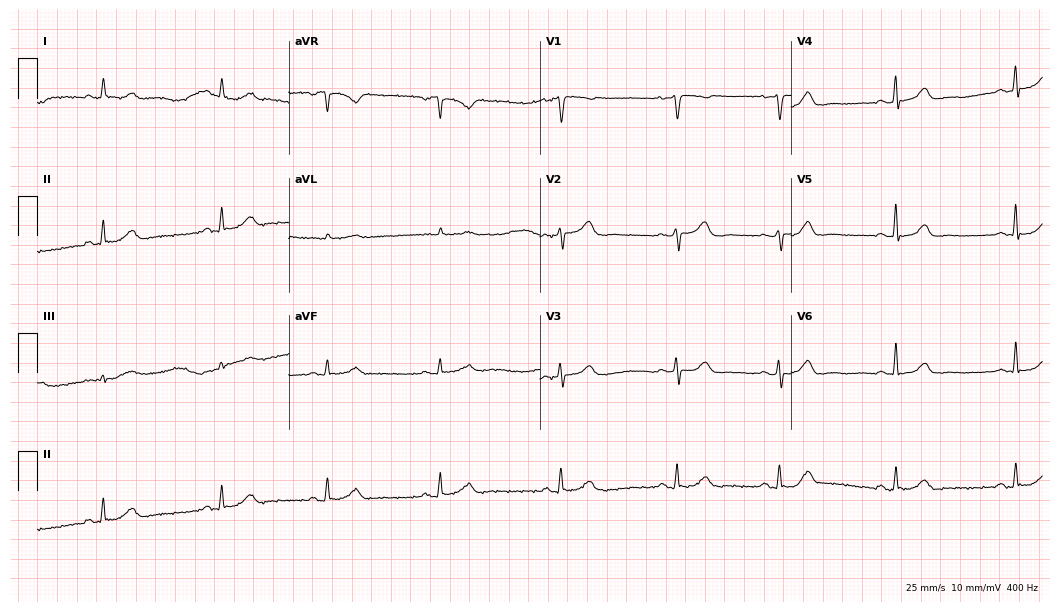
12-lead ECG from a female patient, 42 years old. Labelled as a normal ECG.